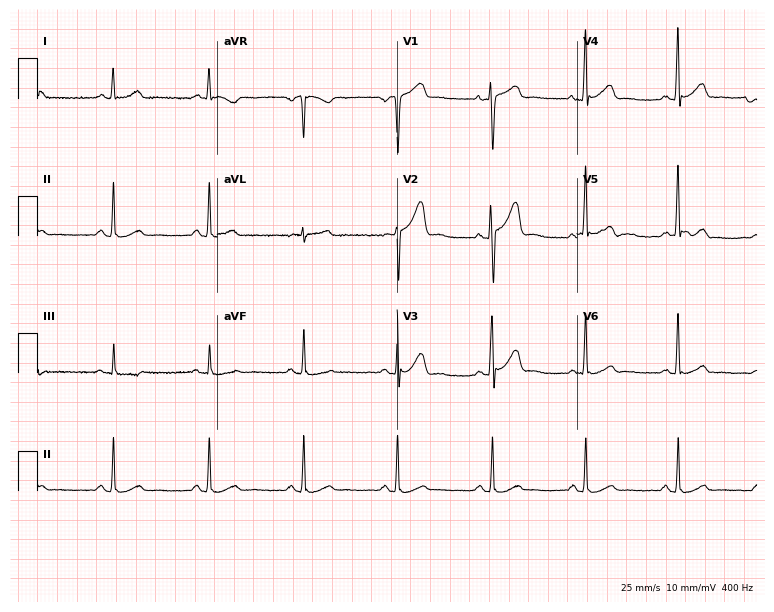
12-lead ECG from a male, 36 years old. Recorded interpretation: within normal limits.